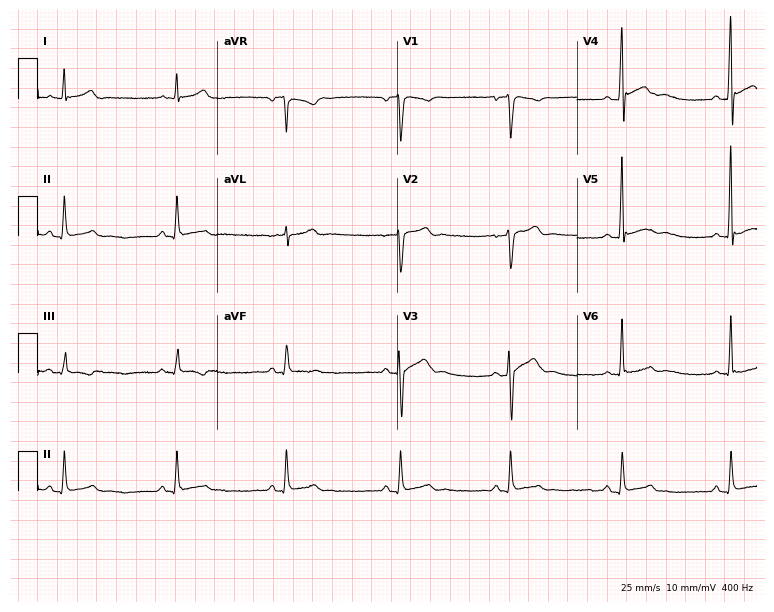
12-lead ECG from a 24-year-old man. Labelled as a normal ECG.